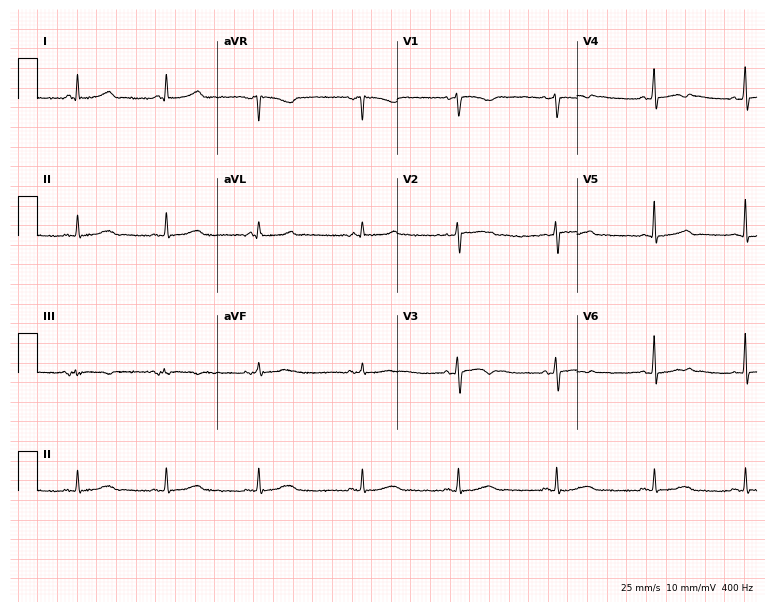
Standard 12-lead ECG recorded from a 34-year-old female (7.3-second recording at 400 Hz). None of these six findings is recorded: first-degree AV block, right bundle branch block (RBBB), left bundle branch block (LBBB), sinus bradycardia, atrial fibrillation (AF), sinus tachycardia.